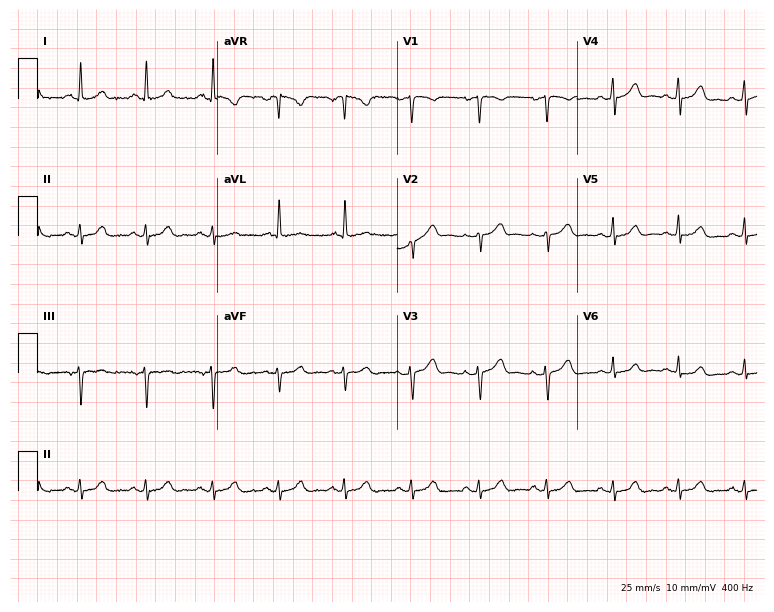
12-lead ECG from a 56-year-old woman. Labelled as a normal ECG.